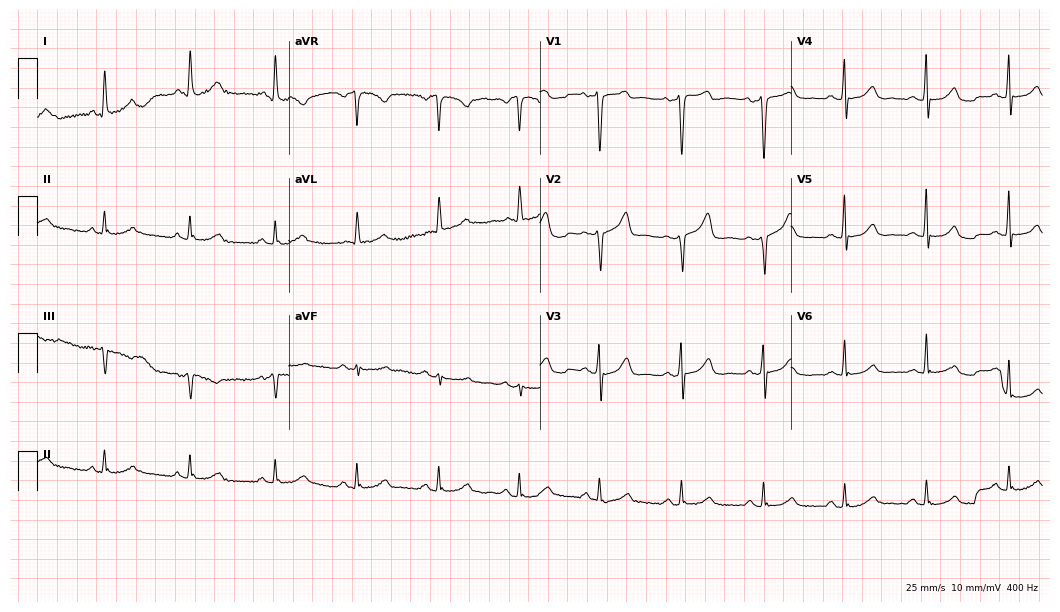
Electrocardiogram (10.2-second recording at 400 Hz), a woman, 56 years old. Overall reading on record: normal ECG.